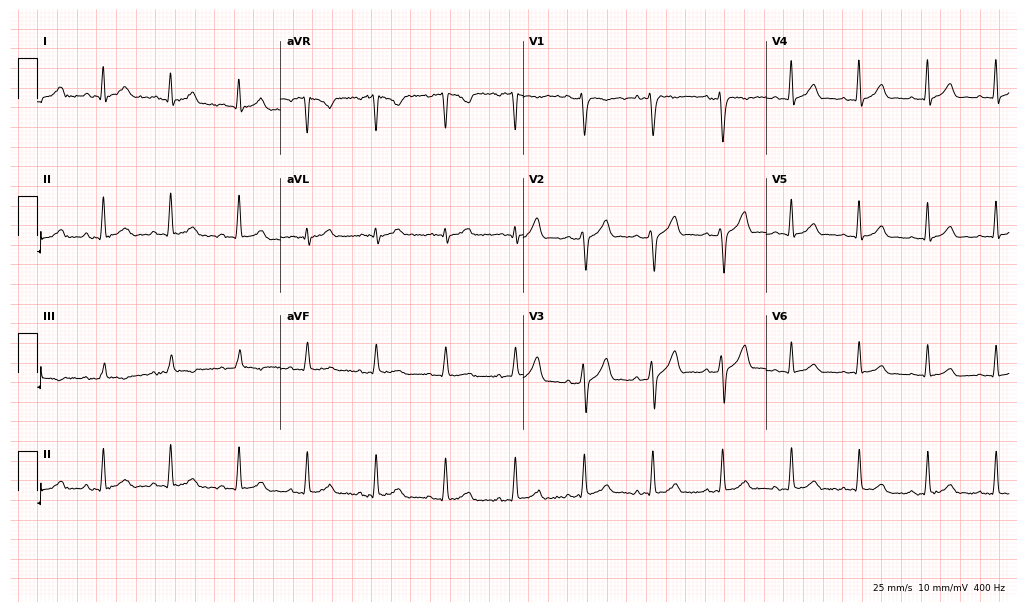
Resting 12-lead electrocardiogram (9.9-second recording at 400 Hz). Patient: a 29-year-old male. Read as a normal ECG.